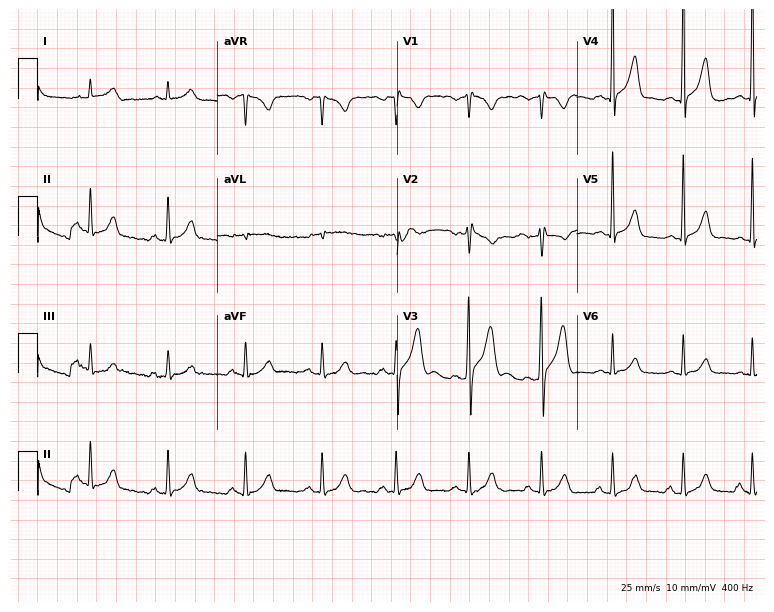
12-lead ECG from a male, 43 years old (7.3-second recording at 400 Hz). Recorded interpretation: within normal limits.